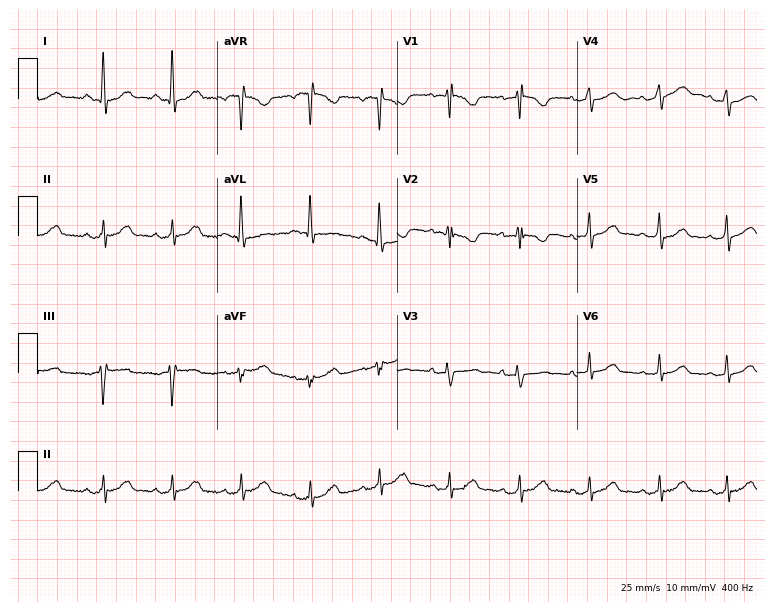
12-lead ECG (7.3-second recording at 400 Hz) from a 62-year-old female patient. Screened for six findings — first-degree AV block, right bundle branch block (RBBB), left bundle branch block (LBBB), sinus bradycardia, atrial fibrillation (AF), sinus tachycardia — none is recorded. Only these six findings were labelled.